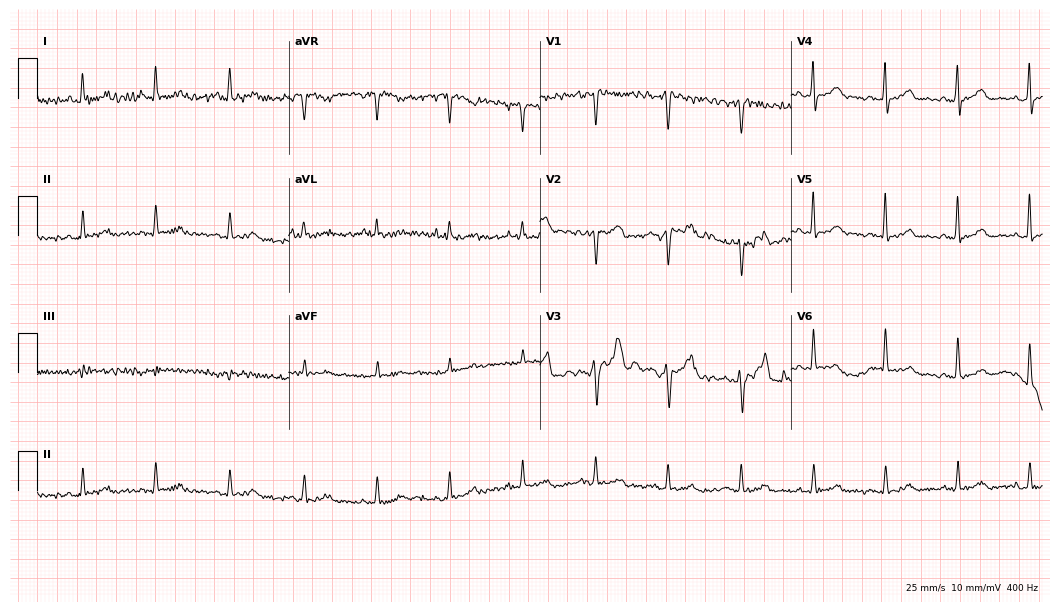
ECG — a male, 46 years old. Labelled as a normal ECG.